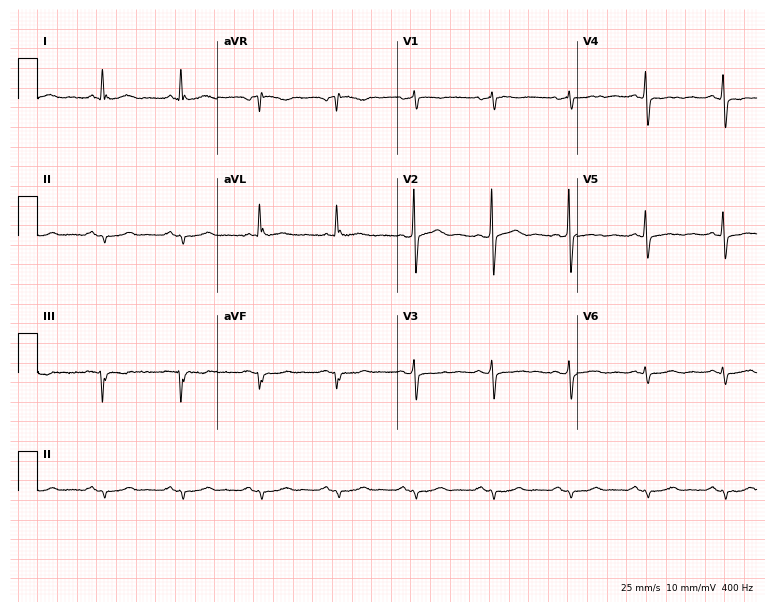
12-lead ECG from a man, 68 years old (7.3-second recording at 400 Hz). No first-degree AV block, right bundle branch block, left bundle branch block, sinus bradycardia, atrial fibrillation or sinus tachycardia recorded for this tracing.